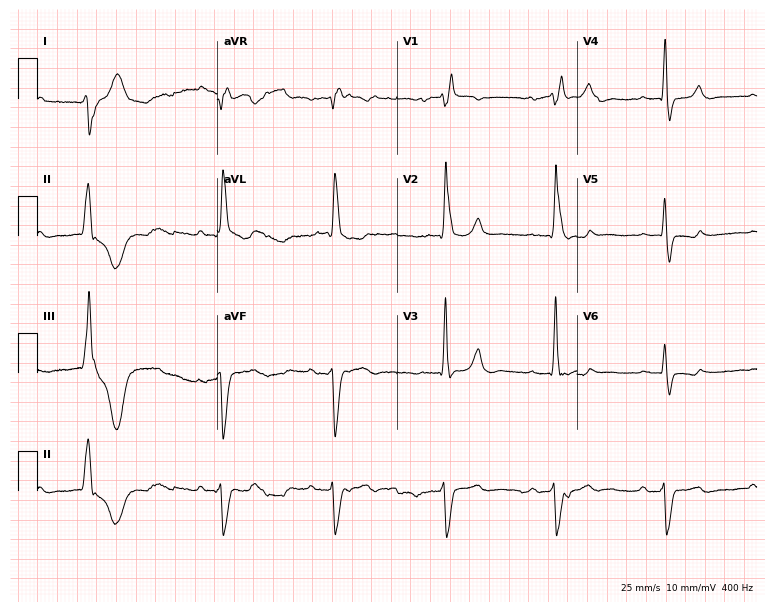
12-lead ECG from a man, 85 years old. Shows first-degree AV block, right bundle branch block.